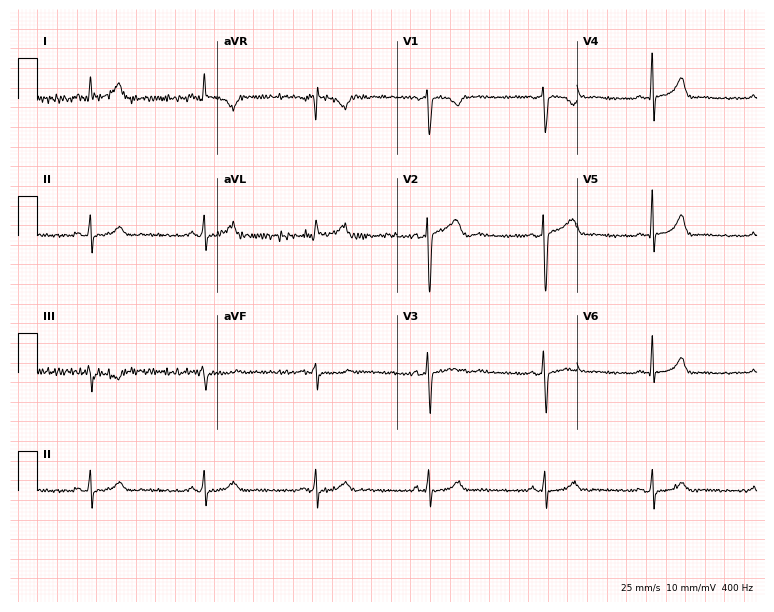
ECG — a woman, 38 years old. Labelled as a normal ECG.